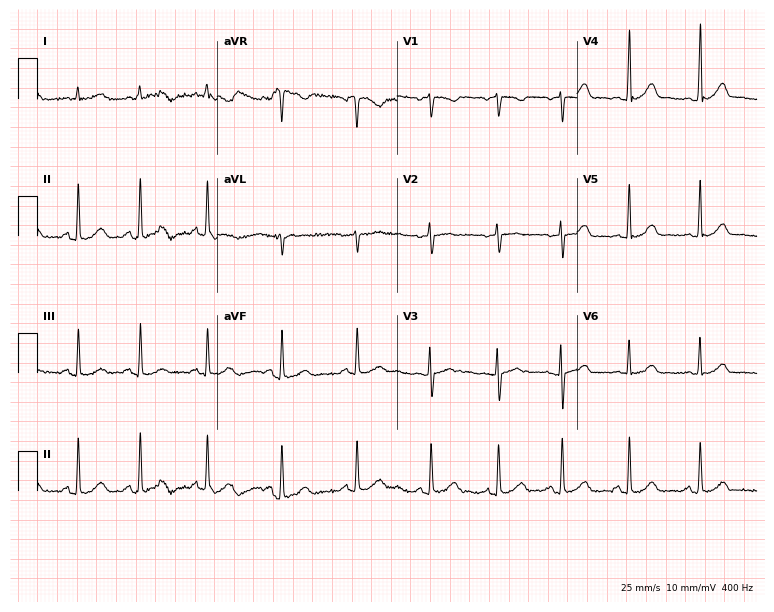
12-lead ECG from a 20-year-old female. Recorded interpretation: within normal limits.